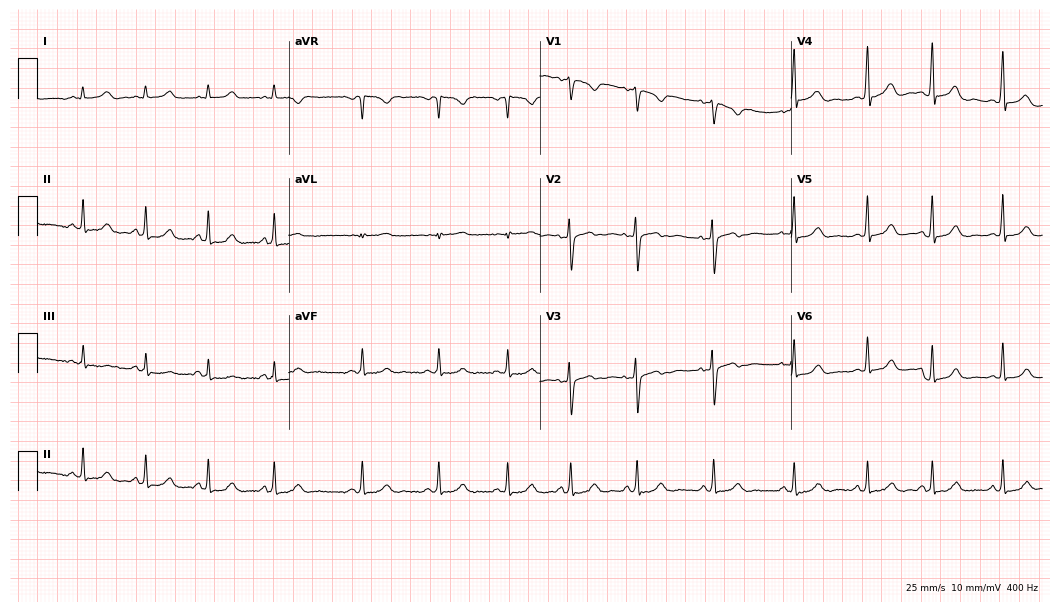
Electrocardiogram (10.2-second recording at 400 Hz), a 36-year-old woman. Of the six screened findings (first-degree AV block, right bundle branch block, left bundle branch block, sinus bradycardia, atrial fibrillation, sinus tachycardia), none is recorded. Findings outside these six are not listed.